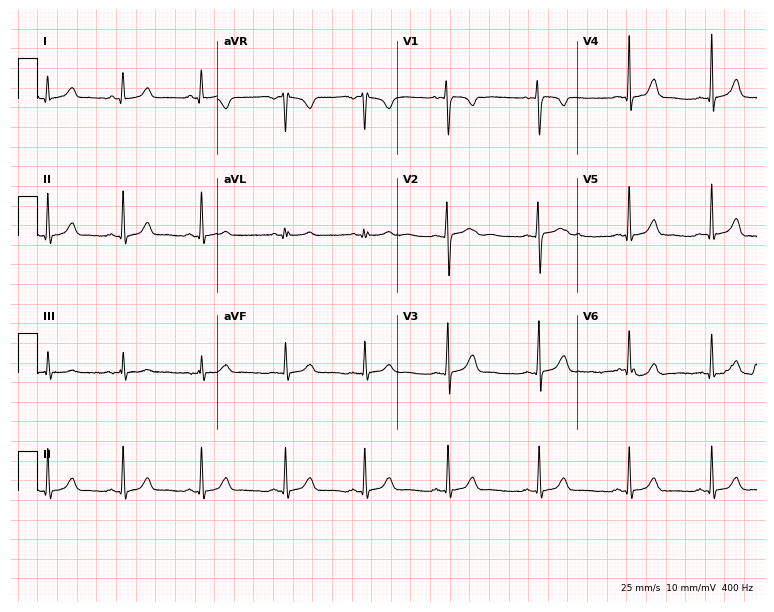
Standard 12-lead ECG recorded from a 21-year-old woman. Read as a normal ECG.